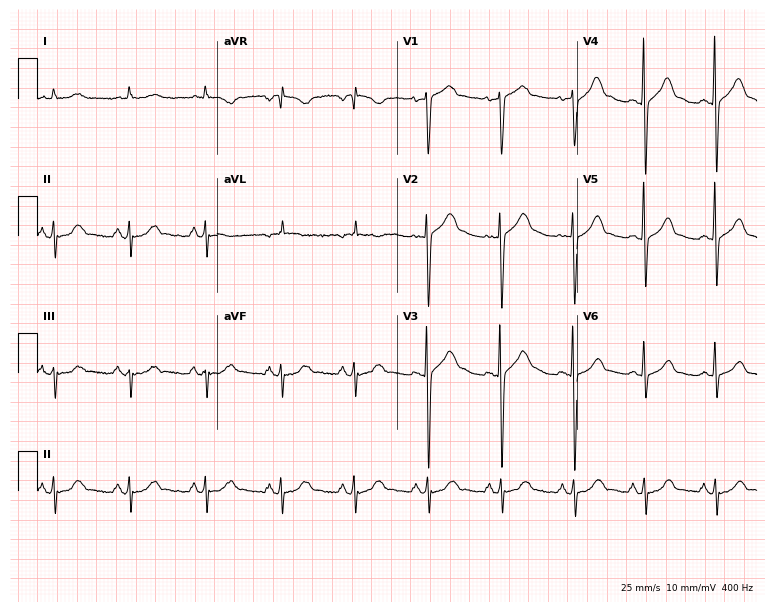
Resting 12-lead electrocardiogram. Patient: a 61-year-old man. None of these six findings is recorded: first-degree AV block, right bundle branch block, left bundle branch block, sinus bradycardia, atrial fibrillation, sinus tachycardia.